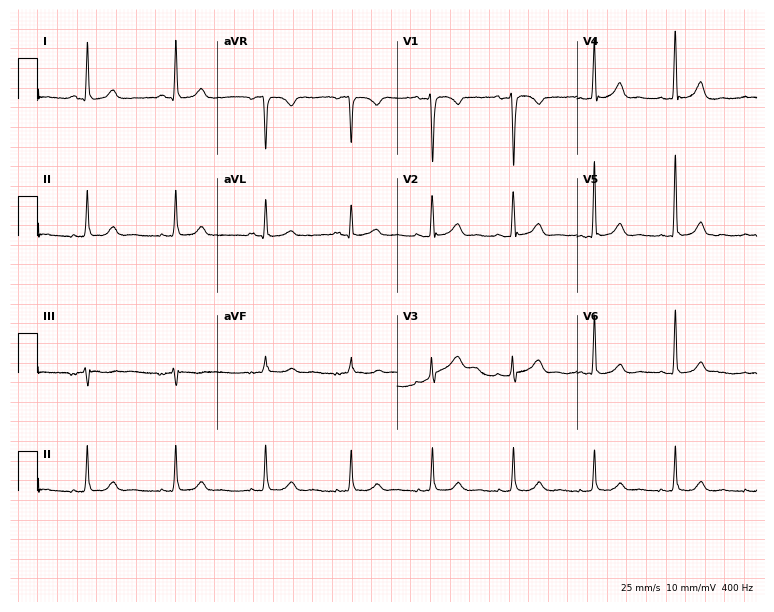
Resting 12-lead electrocardiogram. Patient: a female, 42 years old. Read as a normal ECG.